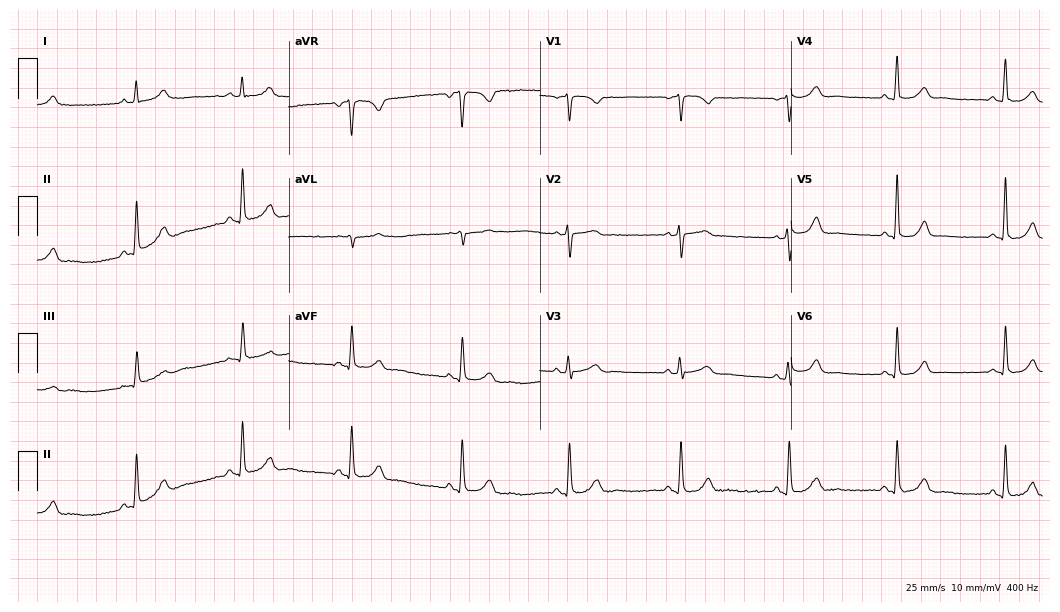
Standard 12-lead ECG recorded from a female patient, 64 years old (10.2-second recording at 400 Hz). Read as a normal ECG.